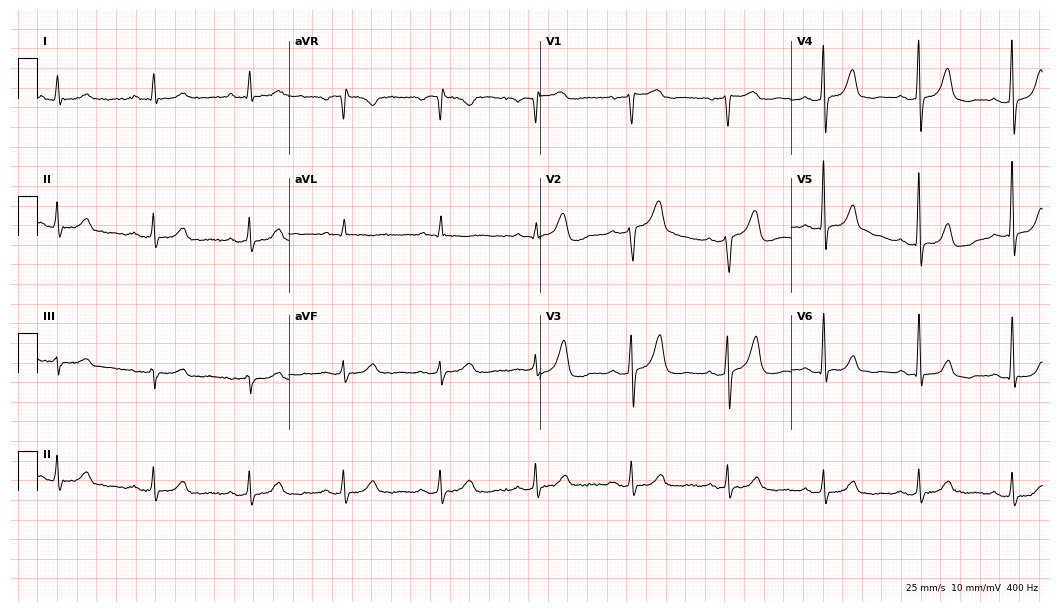
Electrocardiogram (10.2-second recording at 400 Hz), a 56-year-old woman. Overall reading on record: normal ECG.